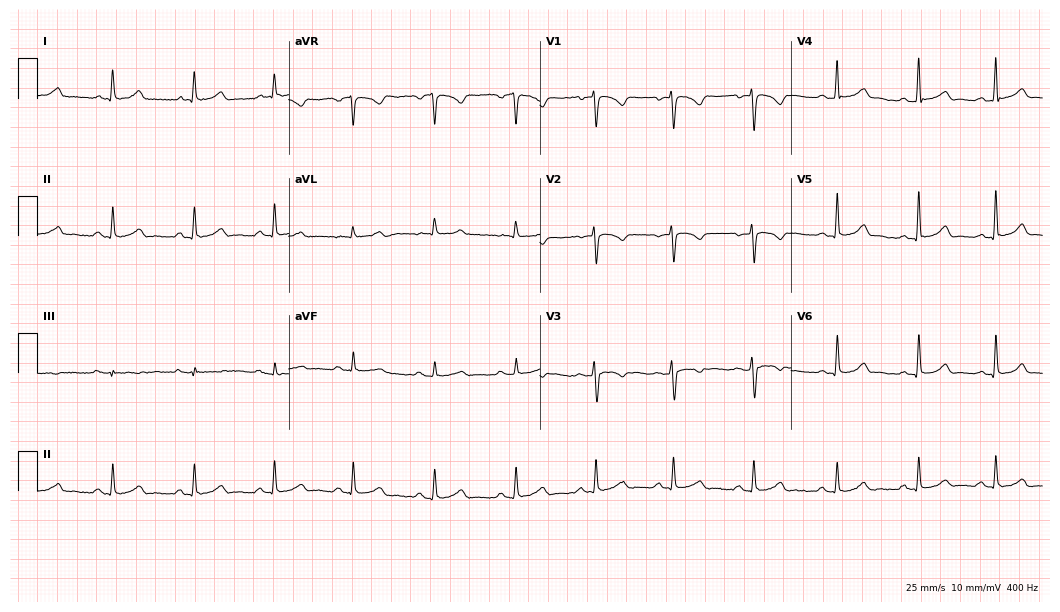
ECG — a 27-year-old female patient. Screened for six findings — first-degree AV block, right bundle branch block, left bundle branch block, sinus bradycardia, atrial fibrillation, sinus tachycardia — none is recorded.